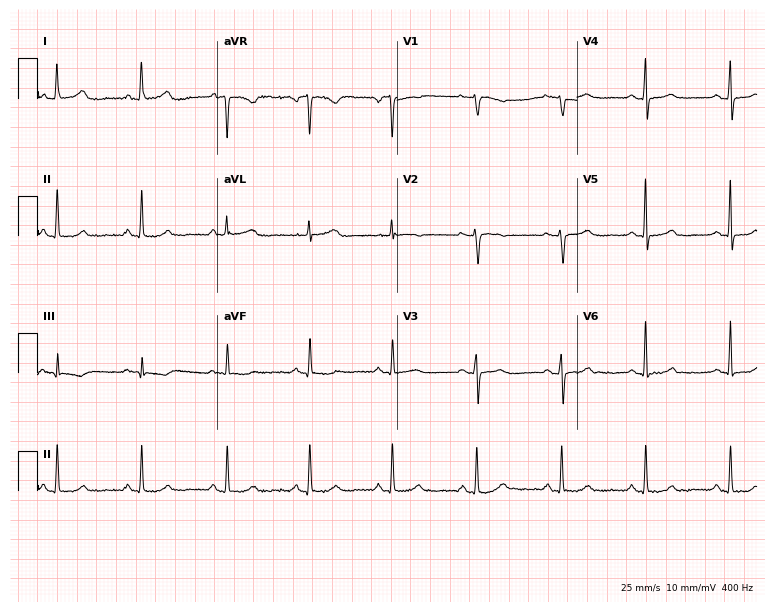
Standard 12-lead ECG recorded from a woman, 49 years old. None of these six findings is recorded: first-degree AV block, right bundle branch block, left bundle branch block, sinus bradycardia, atrial fibrillation, sinus tachycardia.